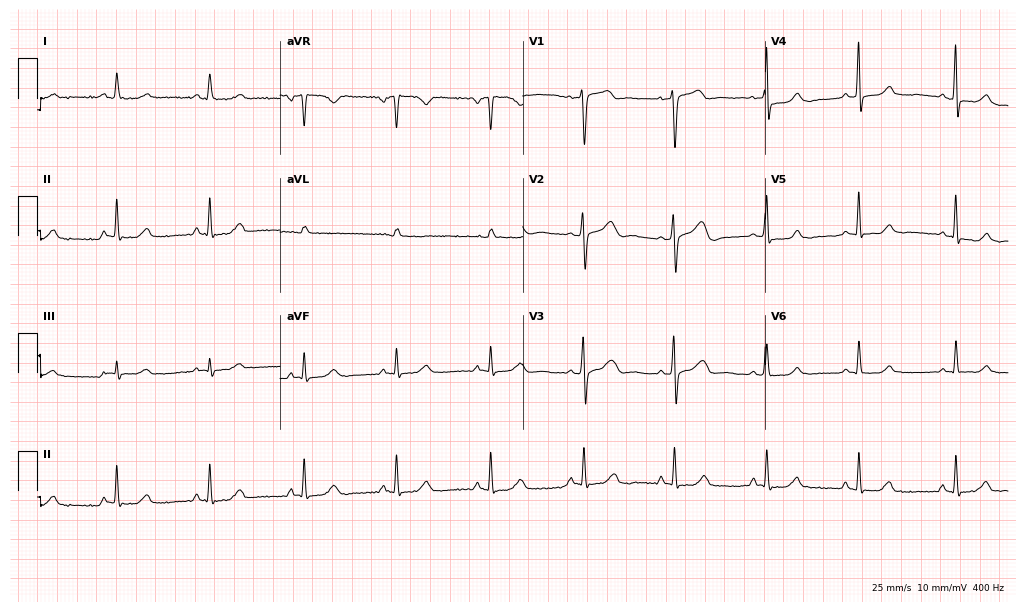
Electrocardiogram (9.9-second recording at 400 Hz), a woman, 49 years old. Overall reading on record: normal ECG.